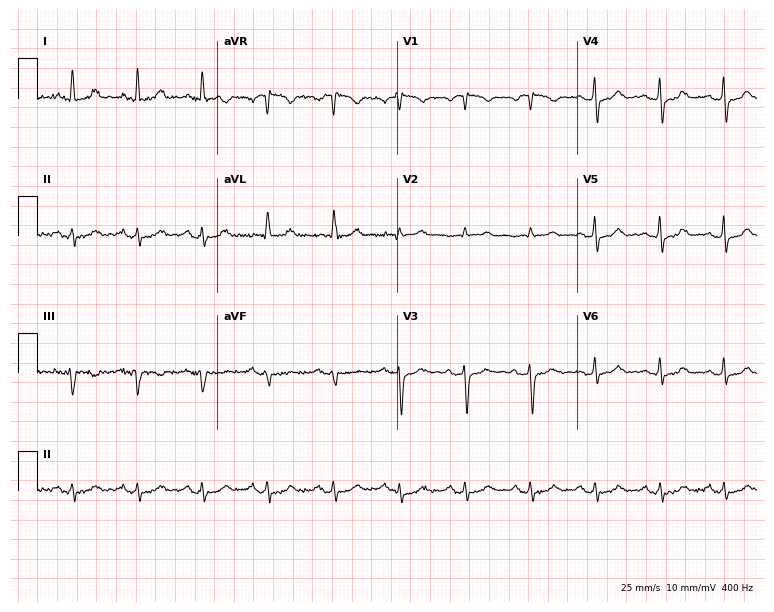
Resting 12-lead electrocardiogram. Patient: a 63-year-old woman. Read as a normal ECG.